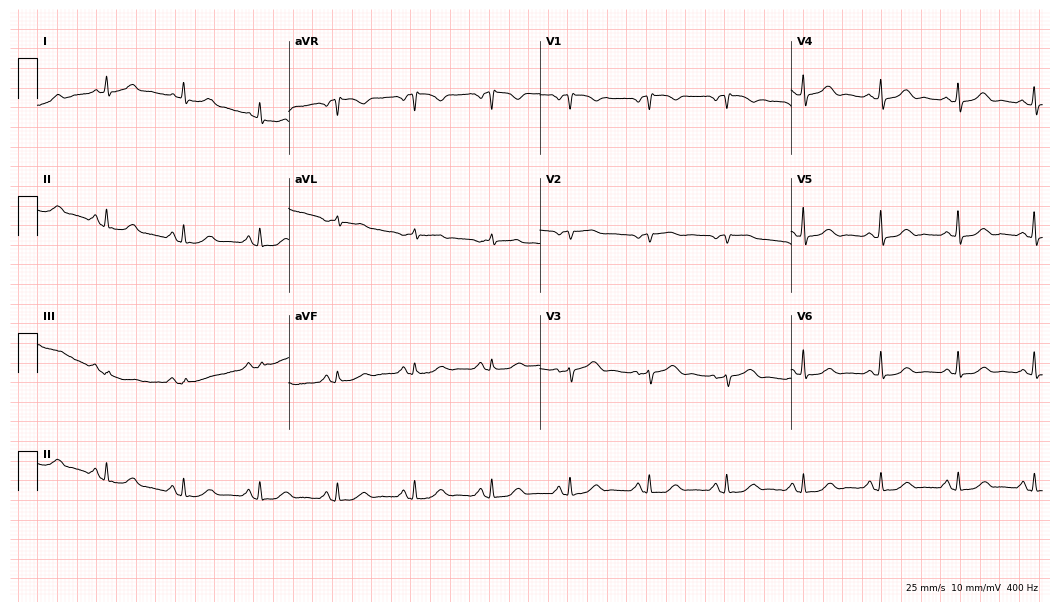
ECG — a 68-year-old female. Screened for six findings — first-degree AV block, right bundle branch block, left bundle branch block, sinus bradycardia, atrial fibrillation, sinus tachycardia — none is recorded. Findings outside these six are not listed.